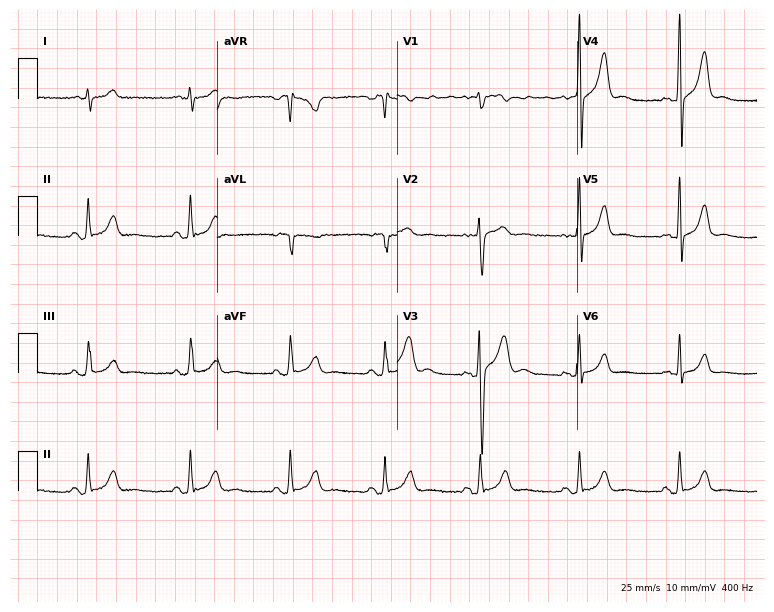
Electrocardiogram, a male patient, 18 years old. Overall reading on record: normal ECG.